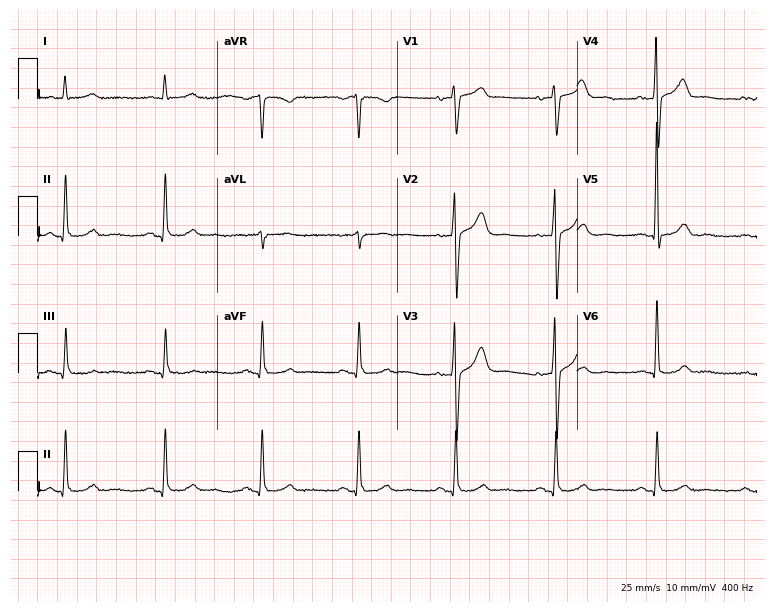
12-lead ECG from a 71-year-old man. Labelled as a normal ECG.